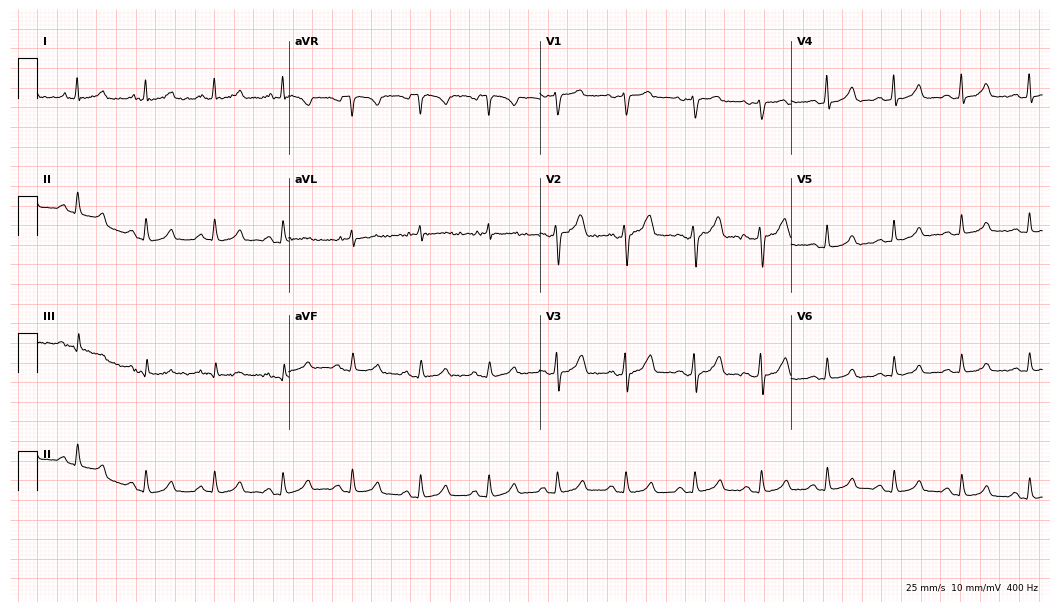
Standard 12-lead ECG recorded from a 25-year-old male (10.2-second recording at 400 Hz). Read as a normal ECG.